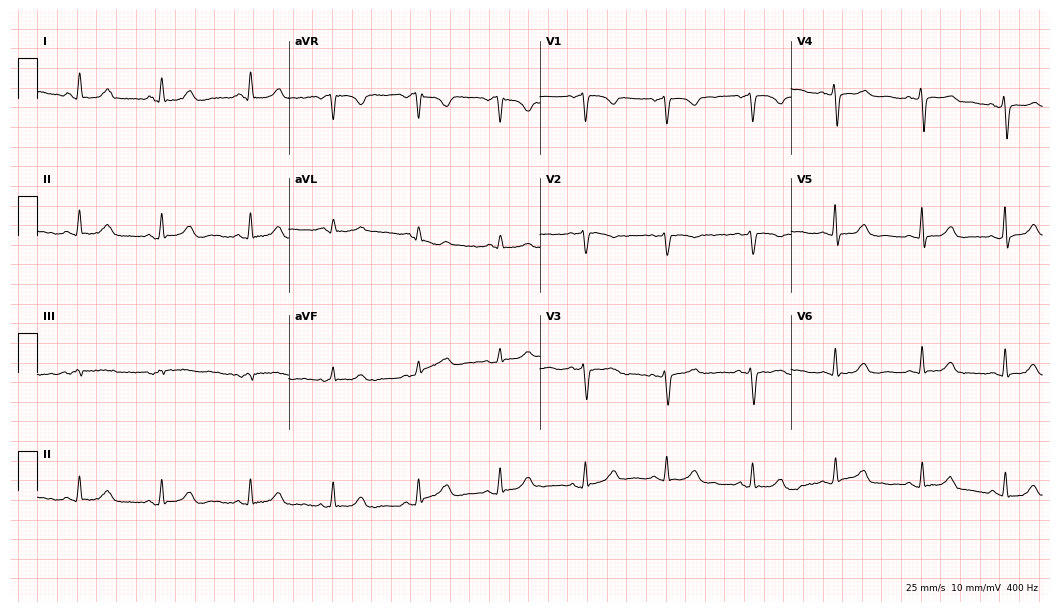
Resting 12-lead electrocardiogram. Patient: a 44-year-old female. None of these six findings is recorded: first-degree AV block, right bundle branch block, left bundle branch block, sinus bradycardia, atrial fibrillation, sinus tachycardia.